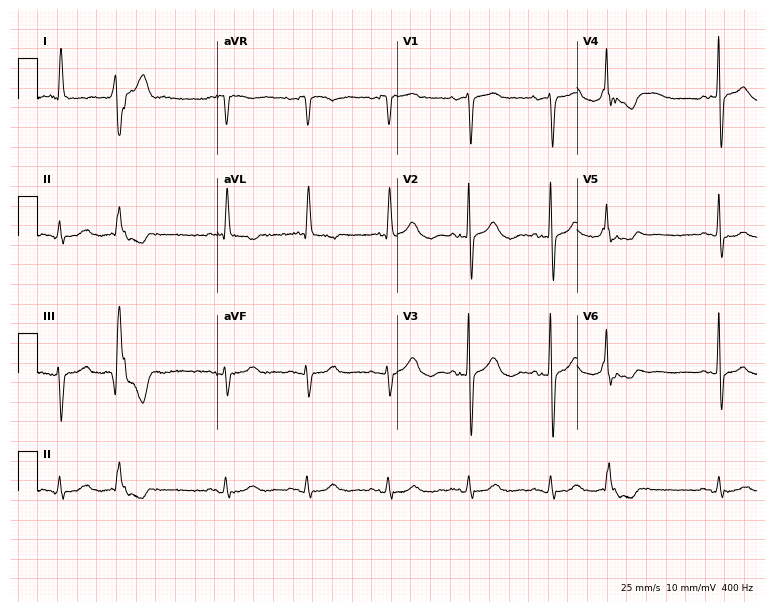
Standard 12-lead ECG recorded from a female, 81 years old (7.3-second recording at 400 Hz). None of these six findings is recorded: first-degree AV block, right bundle branch block, left bundle branch block, sinus bradycardia, atrial fibrillation, sinus tachycardia.